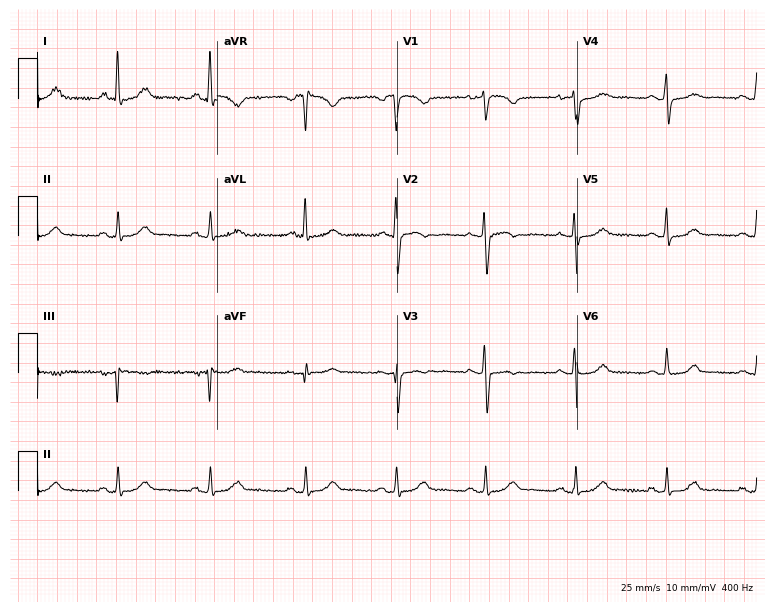
ECG (7.3-second recording at 400 Hz) — a woman, 67 years old. Labelled as a normal ECG.